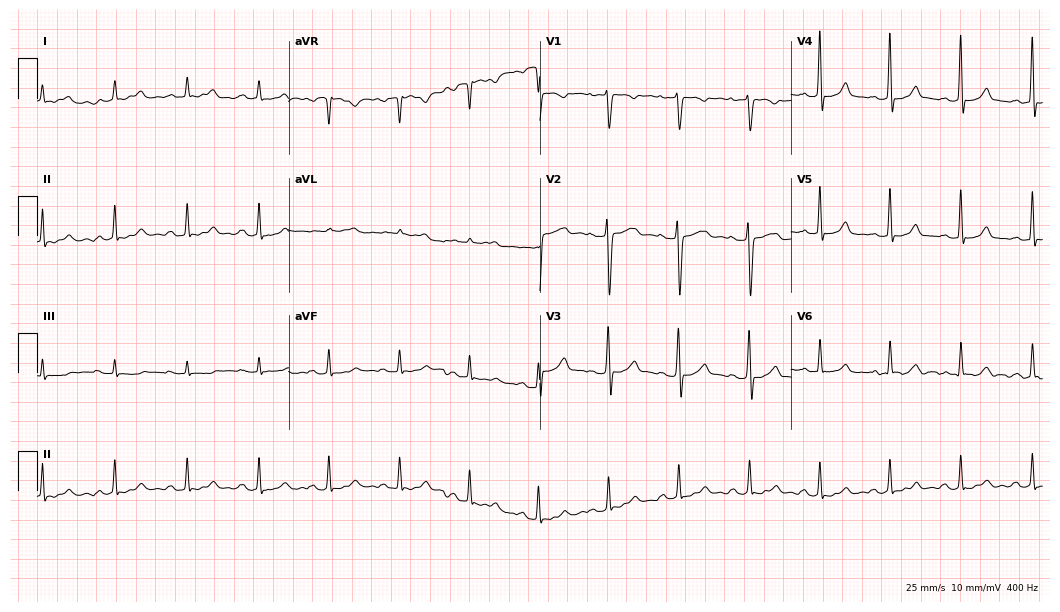
12-lead ECG (10.2-second recording at 400 Hz) from a female patient, 39 years old. Labelled as a normal ECG.